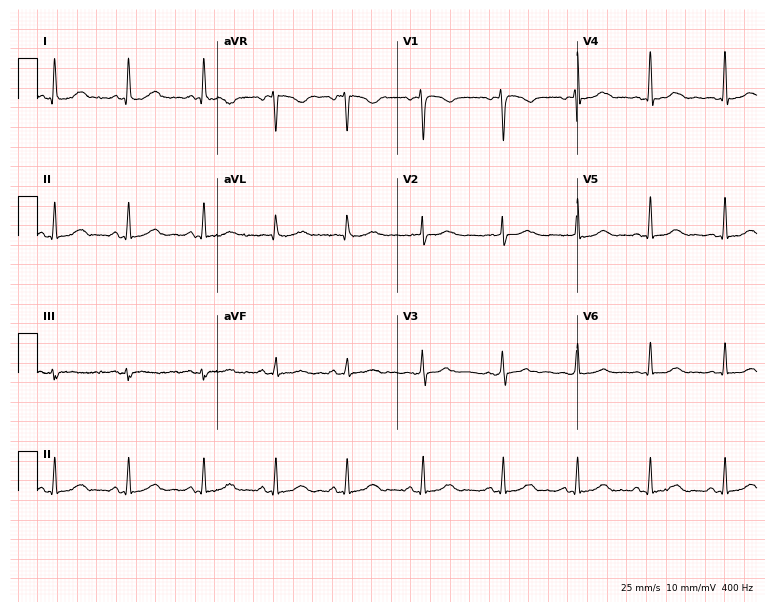
Standard 12-lead ECG recorded from a female patient, 32 years old. Read as a normal ECG.